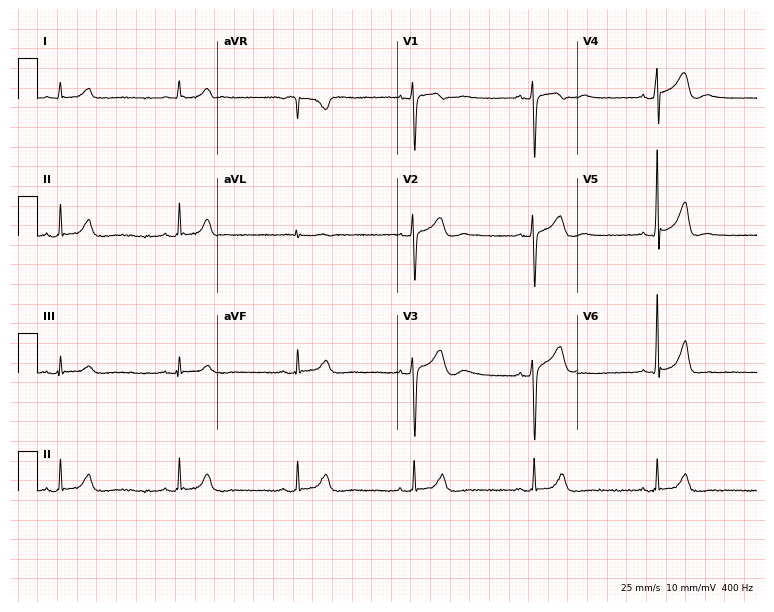
ECG (7.3-second recording at 400 Hz) — a 29-year-old male patient. Findings include sinus bradycardia (a sinus rate of 50 beats per minute or less).